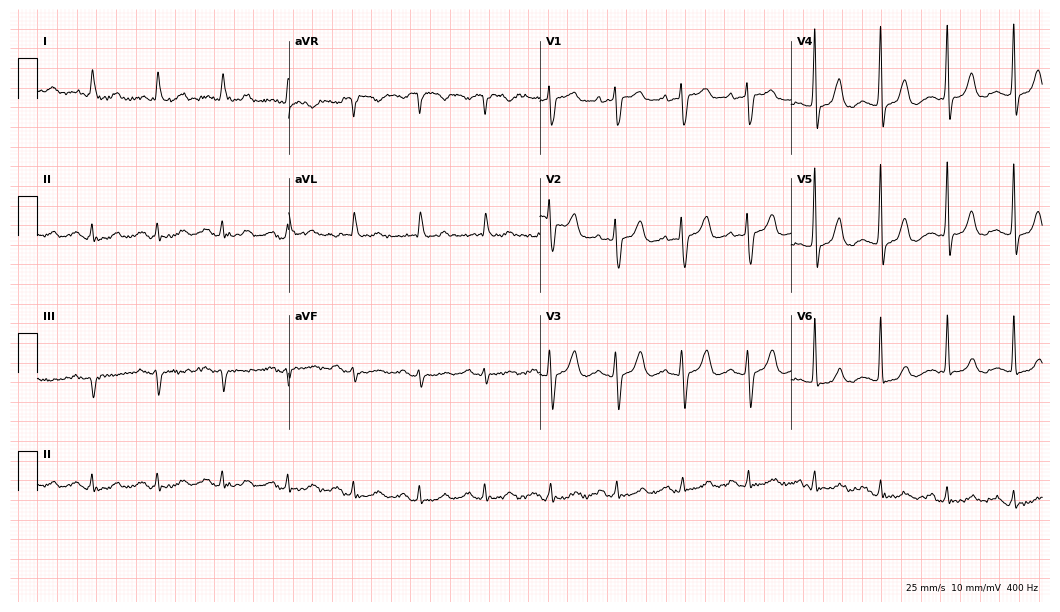
ECG (10.2-second recording at 400 Hz) — a woman, 87 years old. Findings include first-degree AV block.